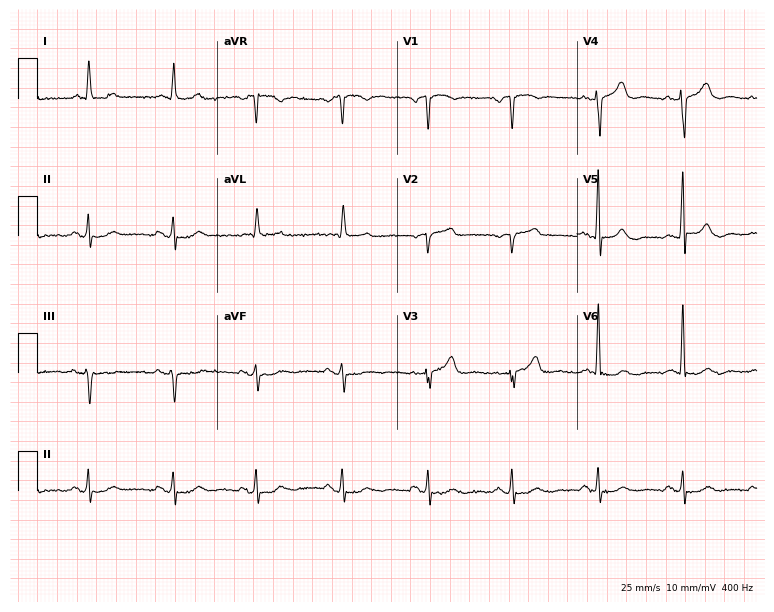
Resting 12-lead electrocardiogram (7.3-second recording at 400 Hz). Patient: a 78-year-old male. Read as a normal ECG.